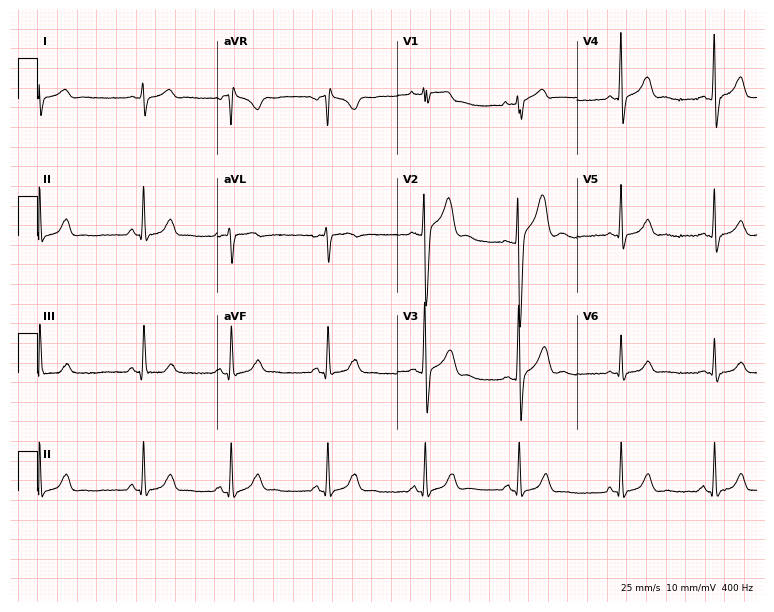
12-lead ECG (7.3-second recording at 400 Hz) from a male, 20 years old. Labelled as a normal ECG.